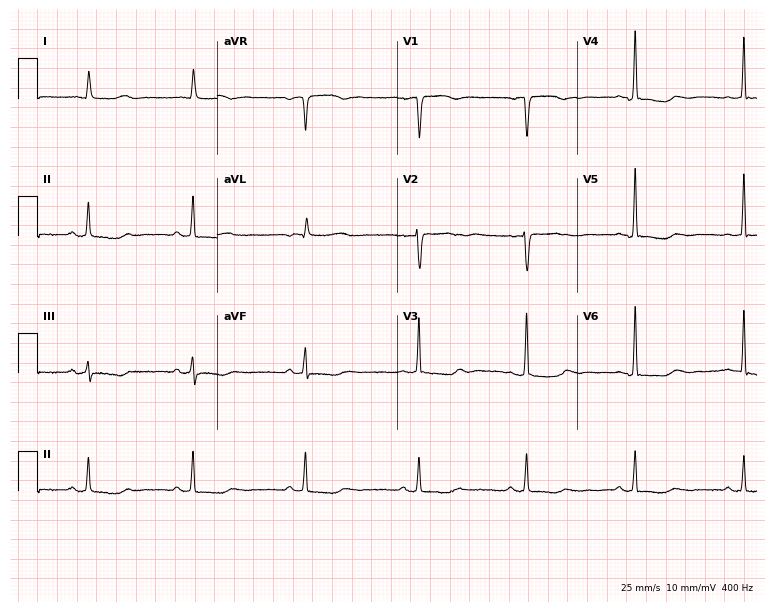
Electrocardiogram (7.3-second recording at 400 Hz), a 76-year-old female patient. Of the six screened findings (first-degree AV block, right bundle branch block, left bundle branch block, sinus bradycardia, atrial fibrillation, sinus tachycardia), none is recorded.